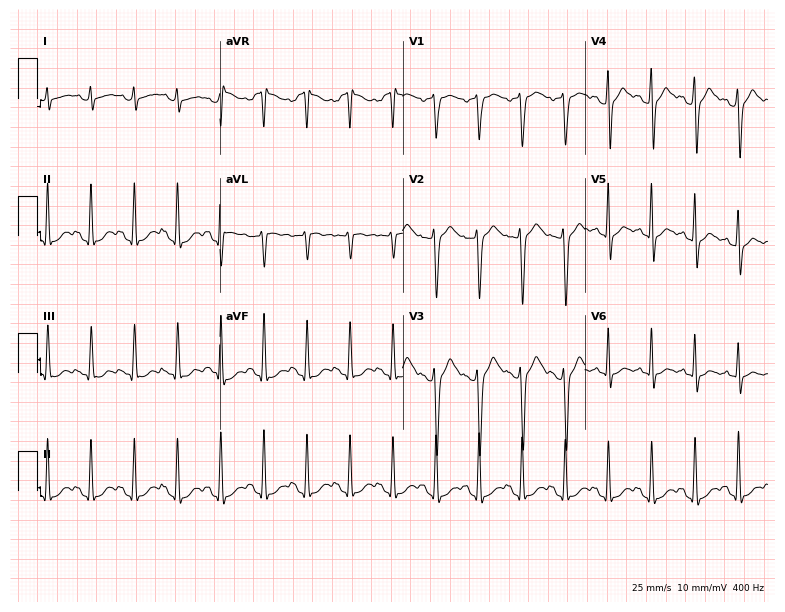
Resting 12-lead electrocardiogram. Patient: a 30-year-old man. The tracing shows sinus tachycardia (a sinus rate of 100 beats per minute or more).